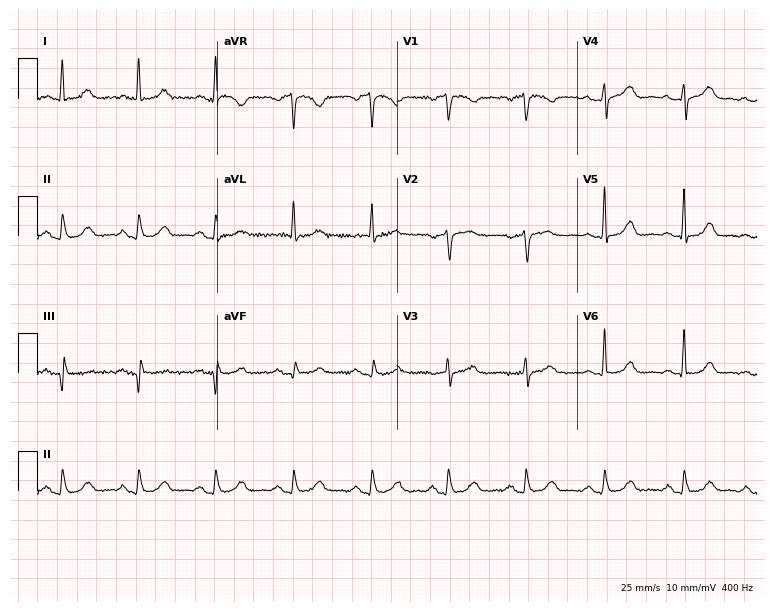
Electrocardiogram, a female, 72 years old. Overall reading on record: normal ECG.